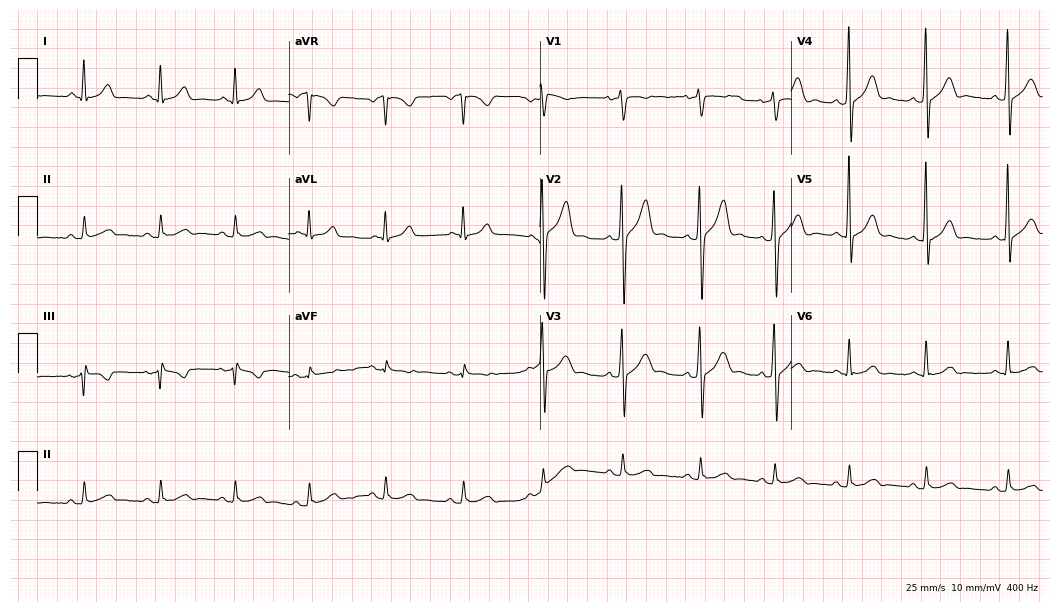
Standard 12-lead ECG recorded from a 32-year-old male patient. None of these six findings is recorded: first-degree AV block, right bundle branch block, left bundle branch block, sinus bradycardia, atrial fibrillation, sinus tachycardia.